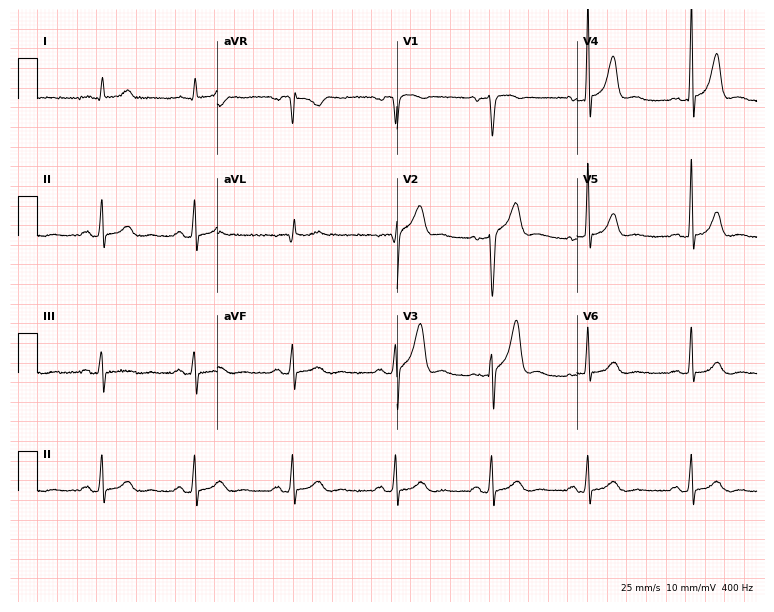
Resting 12-lead electrocardiogram. Patient: a male, 45 years old. Read as a normal ECG.